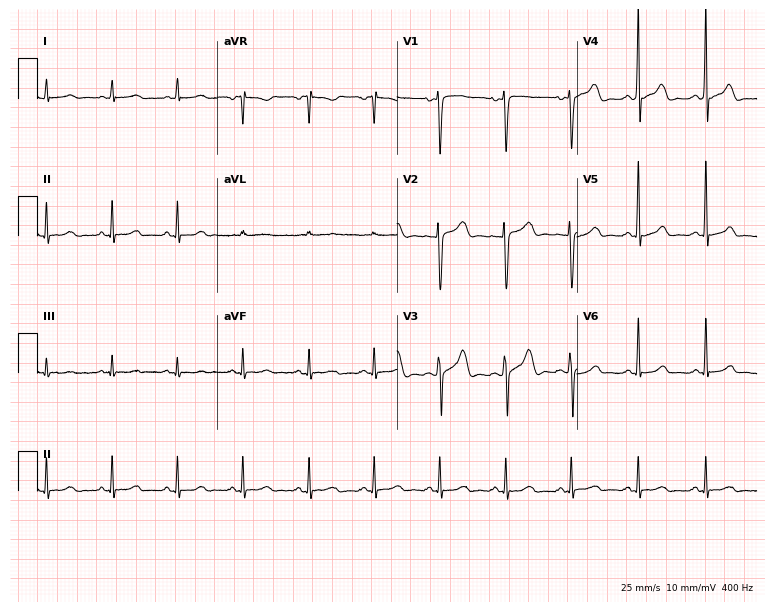
12-lead ECG from a male, 36 years old. No first-degree AV block, right bundle branch block, left bundle branch block, sinus bradycardia, atrial fibrillation or sinus tachycardia recorded for this tracing. Findings outside these six are not listed.